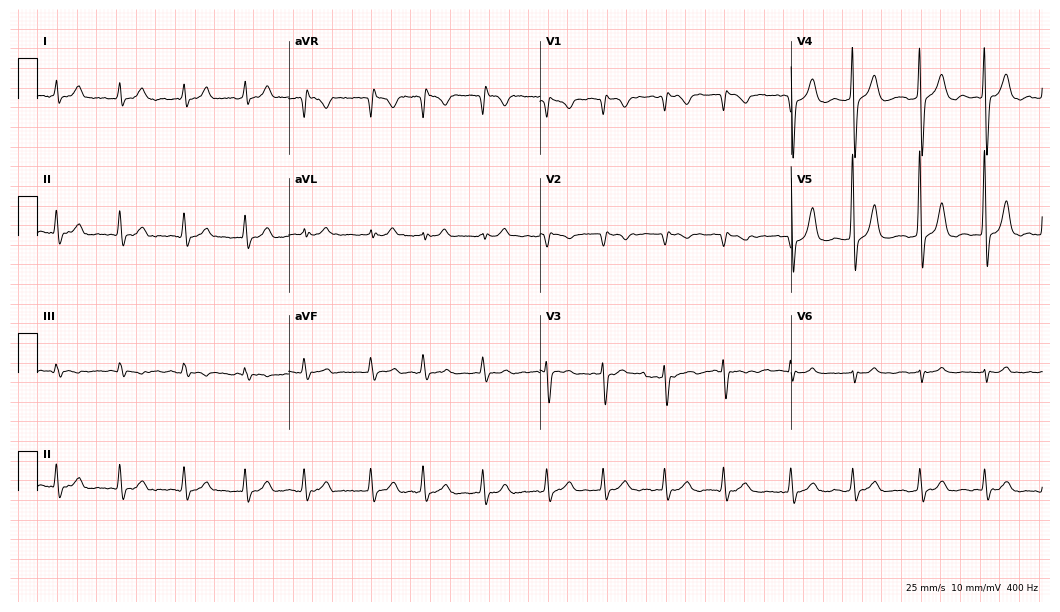
12-lead ECG (10.2-second recording at 400 Hz) from an 81-year-old male. Findings include first-degree AV block.